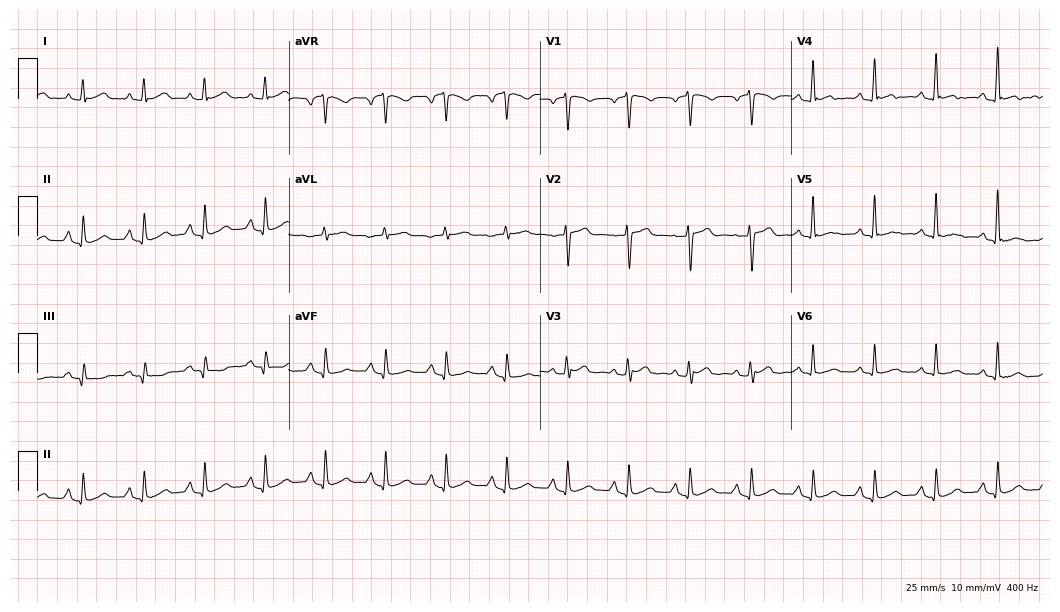
12-lead ECG from a 65-year-old male. No first-degree AV block, right bundle branch block, left bundle branch block, sinus bradycardia, atrial fibrillation or sinus tachycardia recorded for this tracing. Only these six findings were labelled.